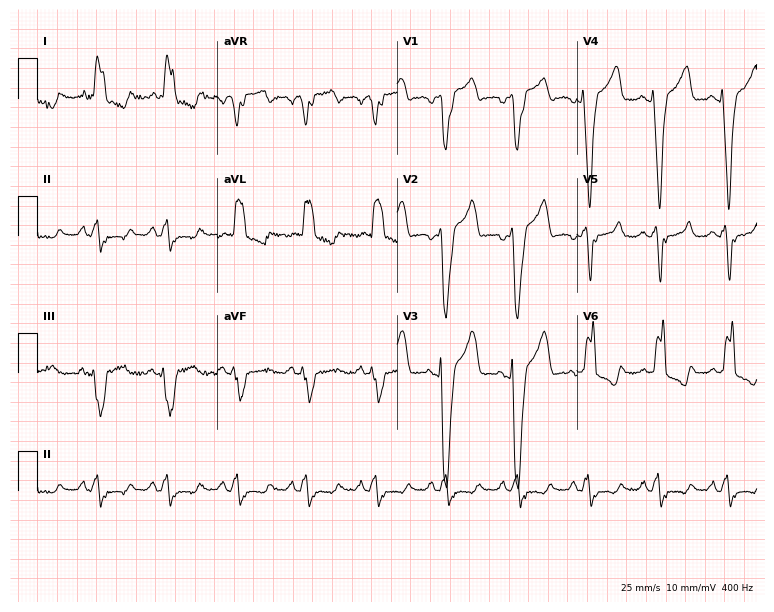
Resting 12-lead electrocardiogram (7.3-second recording at 400 Hz). Patient: a 74-year-old female. The tracing shows left bundle branch block (LBBB).